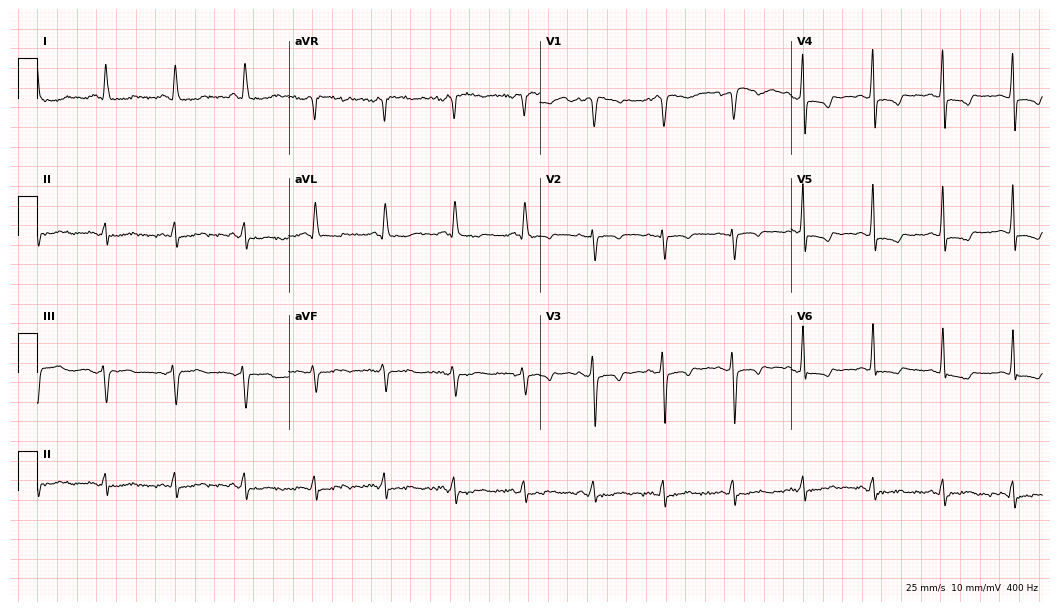
Standard 12-lead ECG recorded from a 56-year-old female patient (10.2-second recording at 400 Hz). None of these six findings is recorded: first-degree AV block, right bundle branch block, left bundle branch block, sinus bradycardia, atrial fibrillation, sinus tachycardia. Only these six findings were labelled.